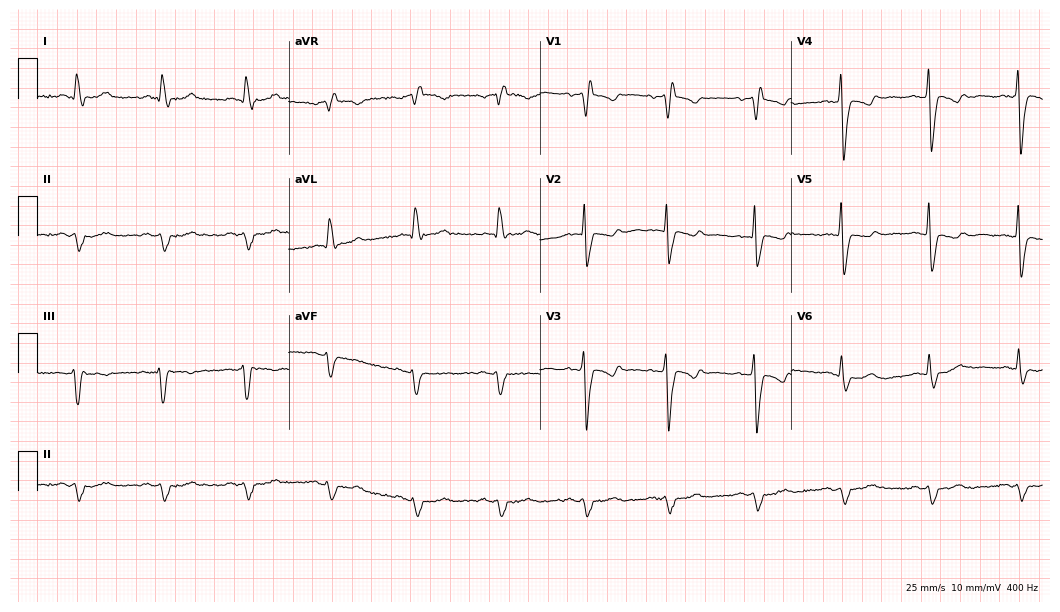
Resting 12-lead electrocardiogram. Patient: an 83-year-old male. The tracing shows right bundle branch block.